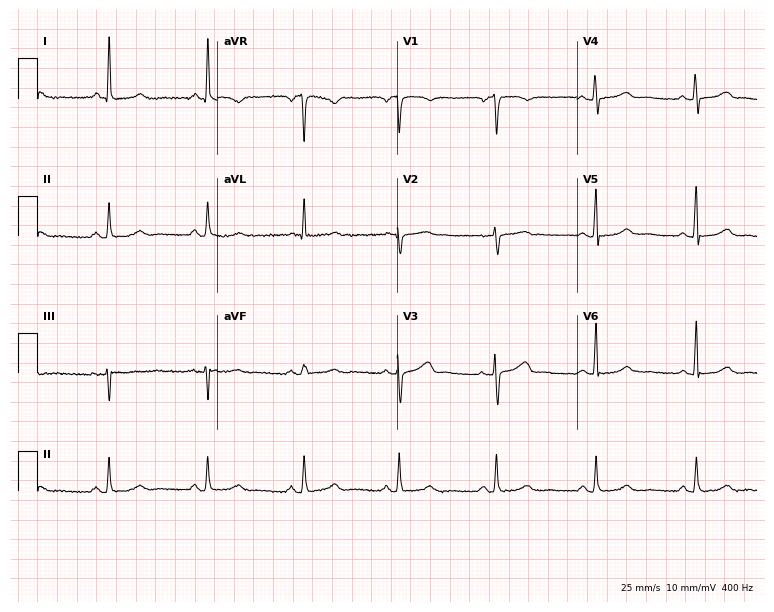
Resting 12-lead electrocardiogram. Patient: a 63-year-old female. None of these six findings is recorded: first-degree AV block, right bundle branch block, left bundle branch block, sinus bradycardia, atrial fibrillation, sinus tachycardia. Other findings, if any, are not listed.